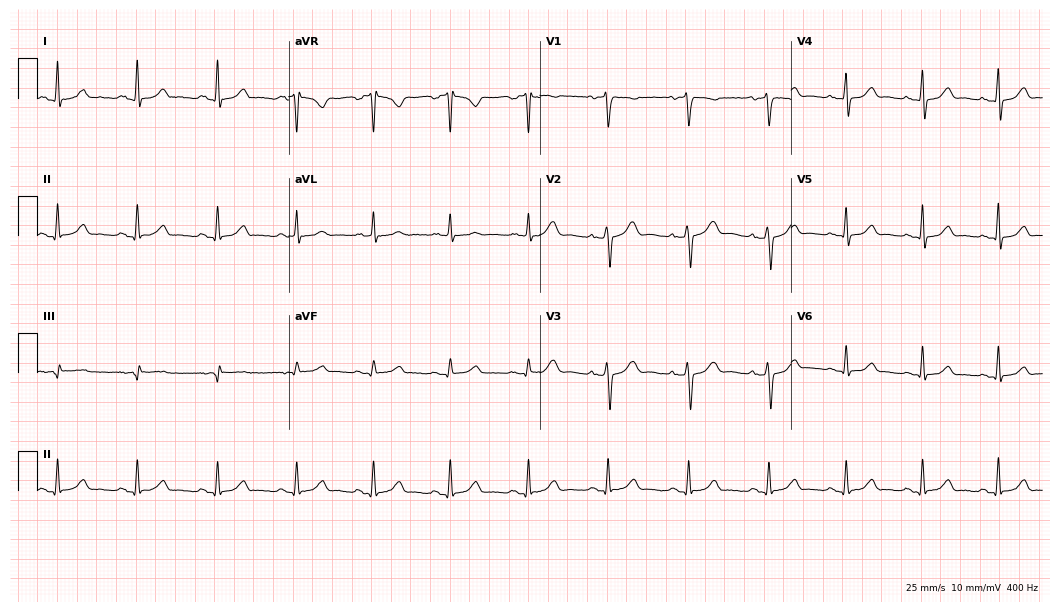
12-lead ECG from a female patient, 30 years old. Labelled as a normal ECG.